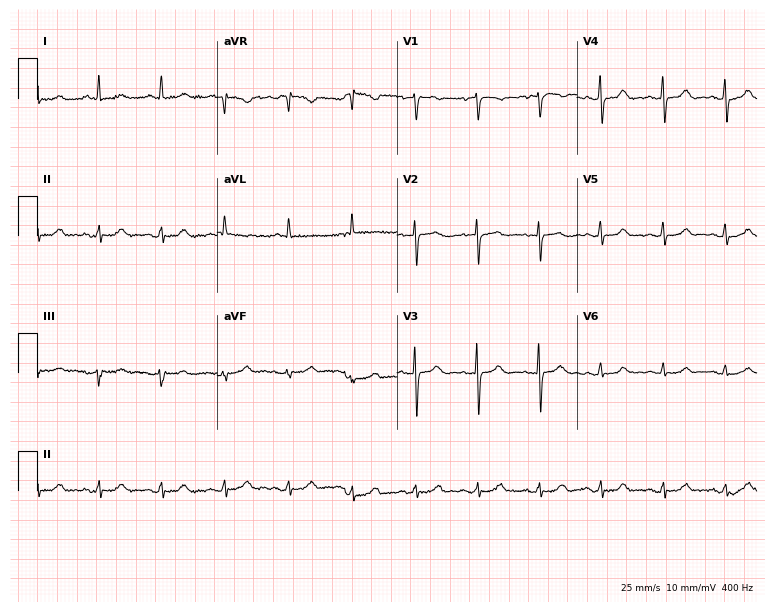
Electrocardiogram (7.3-second recording at 400 Hz), a 66-year-old female. Of the six screened findings (first-degree AV block, right bundle branch block, left bundle branch block, sinus bradycardia, atrial fibrillation, sinus tachycardia), none is recorded. Other findings, if any, are not listed.